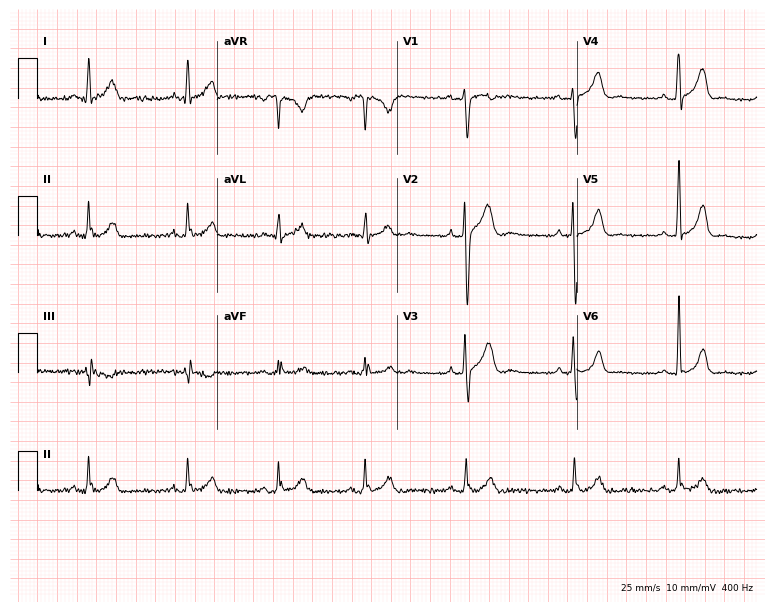
Standard 12-lead ECG recorded from a man, 30 years old (7.3-second recording at 400 Hz). None of these six findings is recorded: first-degree AV block, right bundle branch block (RBBB), left bundle branch block (LBBB), sinus bradycardia, atrial fibrillation (AF), sinus tachycardia. Other findings, if any, are not listed.